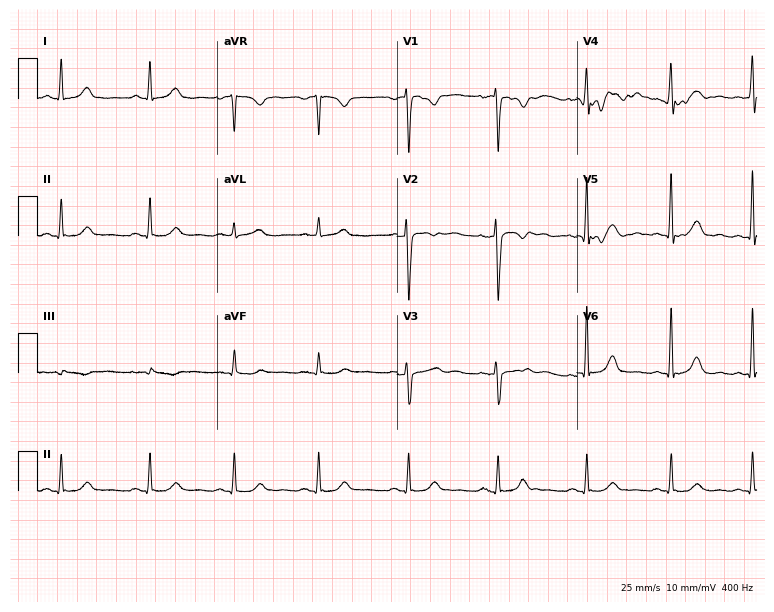
ECG — a 45-year-old female. Labelled as a normal ECG.